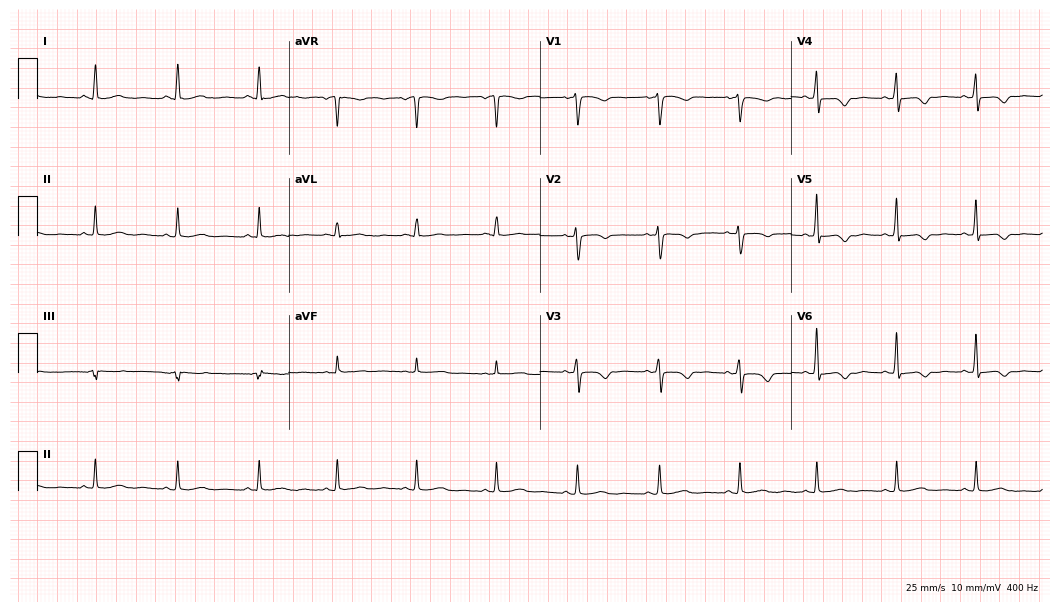
ECG — a 57-year-old female patient. Screened for six findings — first-degree AV block, right bundle branch block, left bundle branch block, sinus bradycardia, atrial fibrillation, sinus tachycardia — none is recorded. Other findings, if any, are not listed.